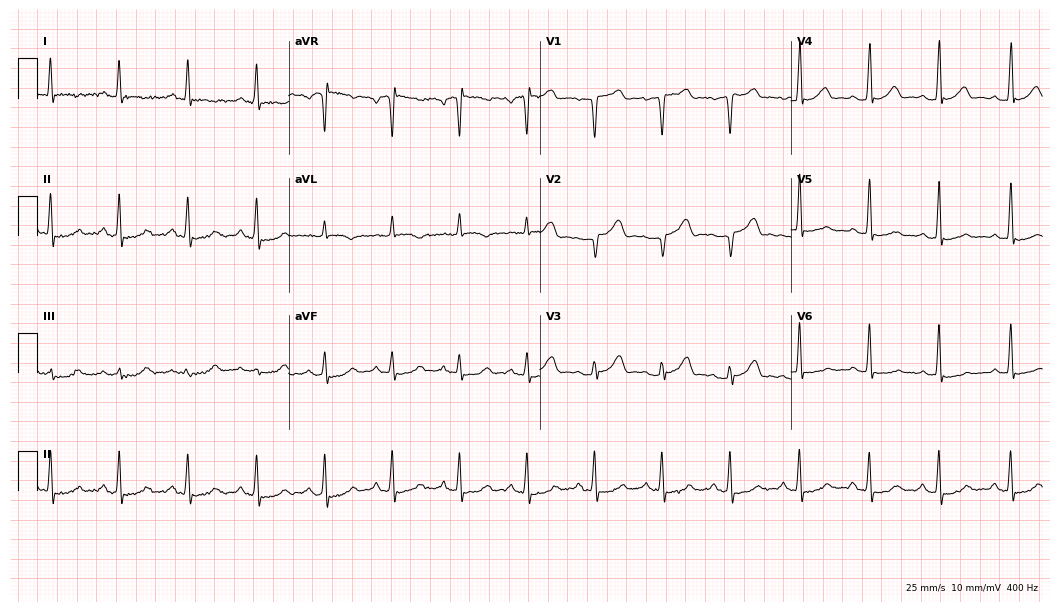
12-lead ECG (10.2-second recording at 400 Hz) from a woman, 57 years old. Labelled as a normal ECG.